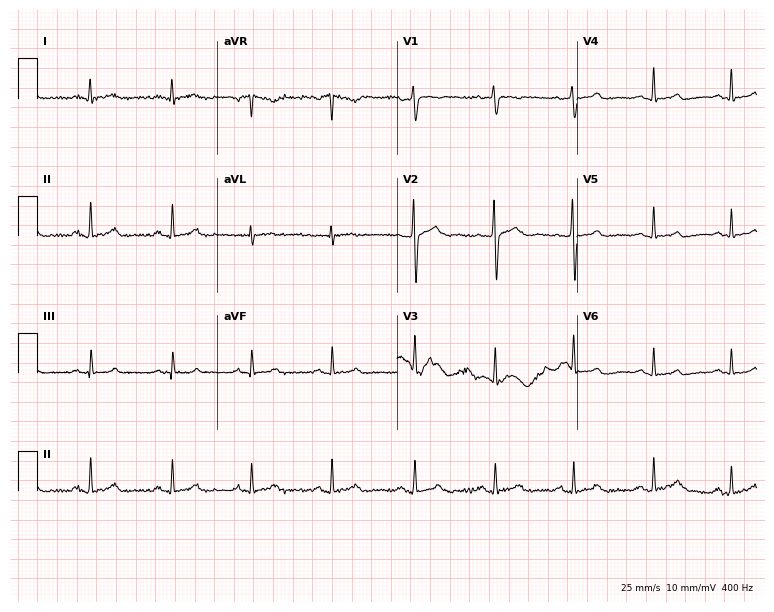
12-lead ECG from a female, 31 years old. Recorded interpretation: within normal limits.